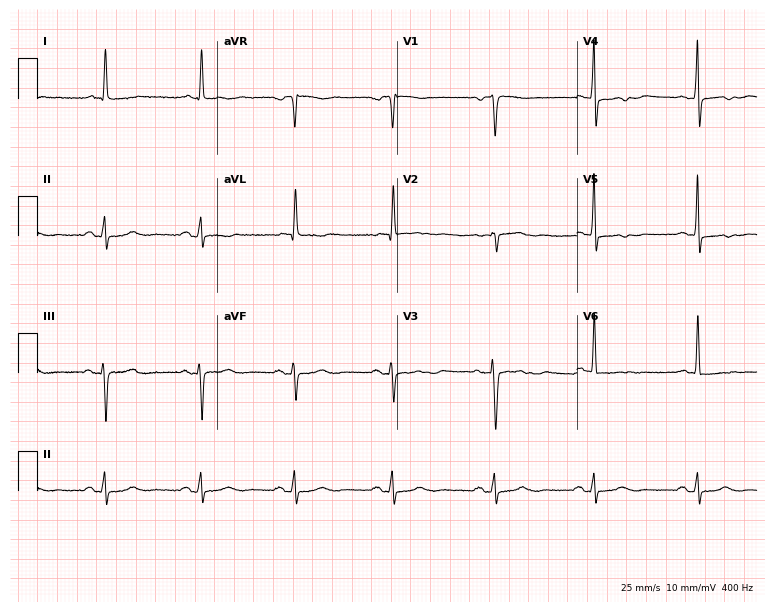
12-lead ECG (7.3-second recording at 400 Hz) from a 78-year-old female. Screened for six findings — first-degree AV block, right bundle branch block, left bundle branch block, sinus bradycardia, atrial fibrillation, sinus tachycardia — none is recorded. Other findings, if any, are not listed.